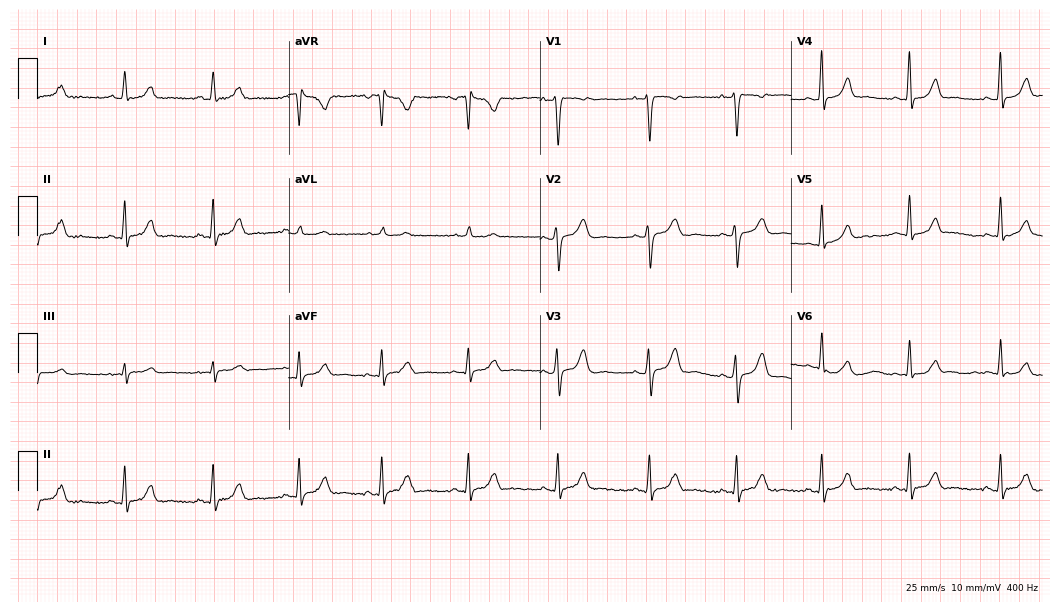
Electrocardiogram (10.2-second recording at 400 Hz), a 63-year-old woman. Overall reading on record: normal ECG.